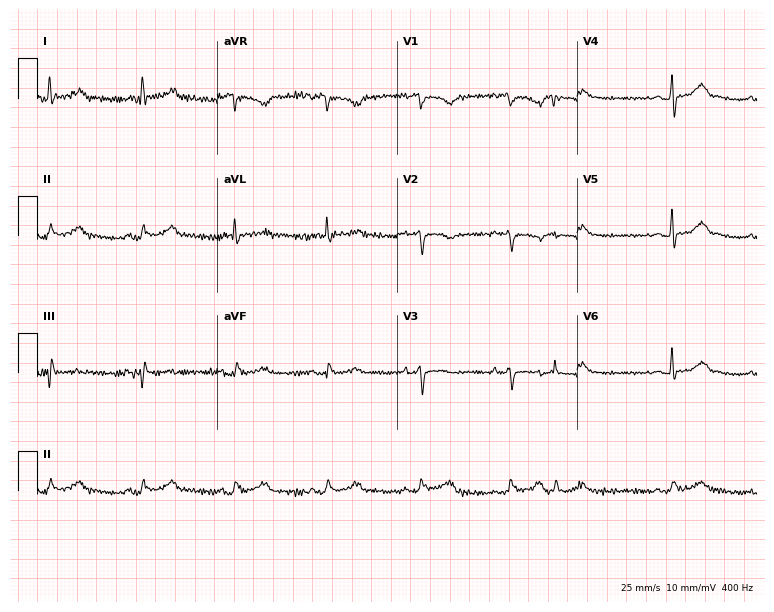
12-lead ECG from a woman, 83 years old. No first-degree AV block, right bundle branch block, left bundle branch block, sinus bradycardia, atrial fibrillation or sinus tachycardia recorded for this tracing.